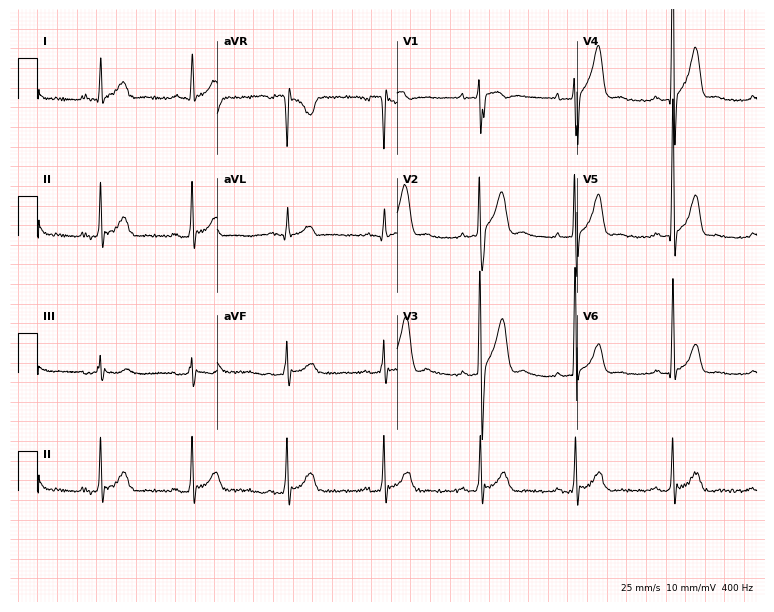
12-lead ECG from a 30-year-old male patient. Labelled as a normal ECG.